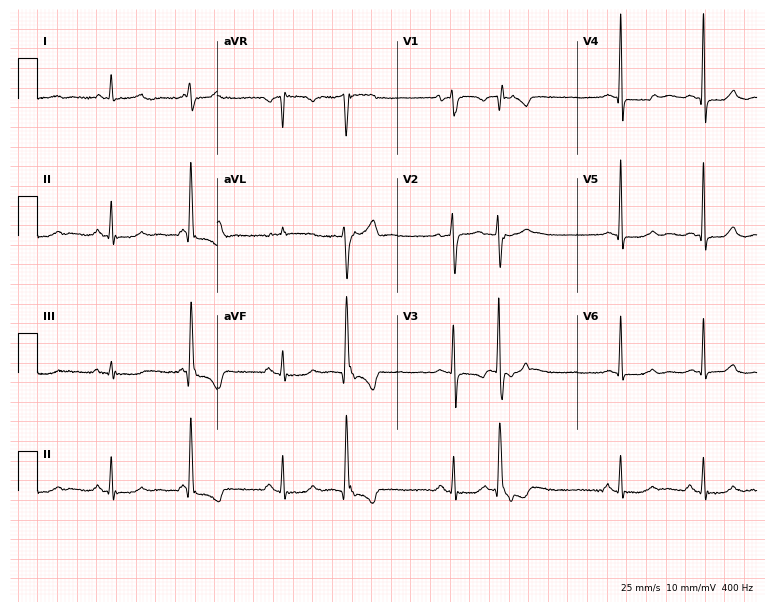
12-lead ECG from a 74-year-old female patient. No first-degree AV block, right bundle branch block, left bundle branch block, sinus bradycardia, atrial fibrillation or sinus tachycardia recorded for this tracing.